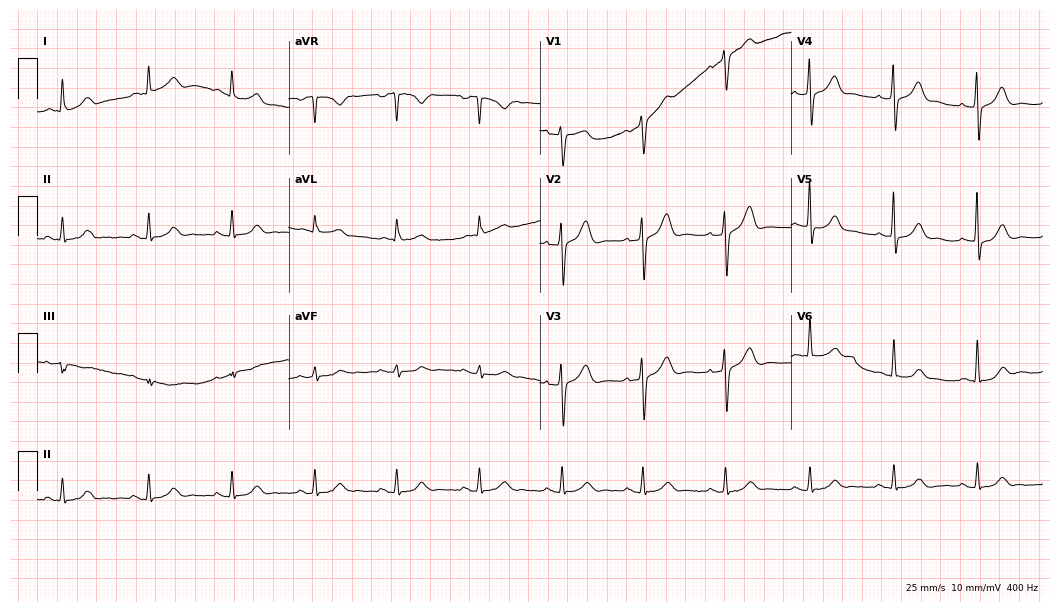
Electrocardiogram (10.2-second recording at 400 Hz), a 59-year-old man. Of the six screened findings (first-degree AV block, right bundle branch block (RBBB), left bundle branch block (LBBB), sinus bradycardia, atrial fibrillation (AF), sinus tachycardia), none is recorded.